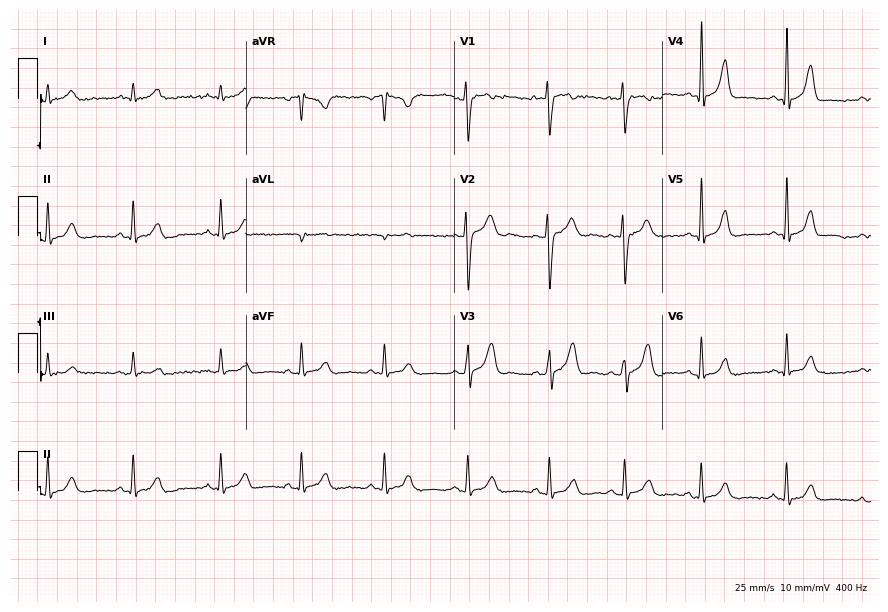
Standard 12-lead ECG recorded from a 32-year-old woman (8.5-second recording at 400 Hz). None of these six findings is recorded: first-degree AV block, right bundle branch block, left bundle branch block, sinus bradycardia, atrial fibrillation, sinus tachycardia. Other findings, if any, are not listed.